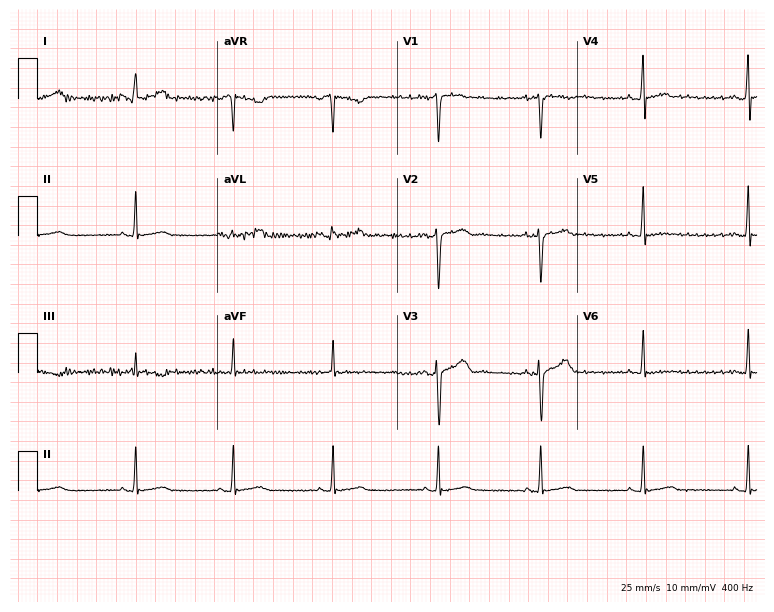
Standard 12-lead ECG recorded from a woman, 27 years old (7.3-second recording at 400 Hz). None of these six findings is recorded: first-degree AV block, right bundle branch block, left bundle branch block, sinus bradycardia, atrial fibrillation, sinus tachycardia.